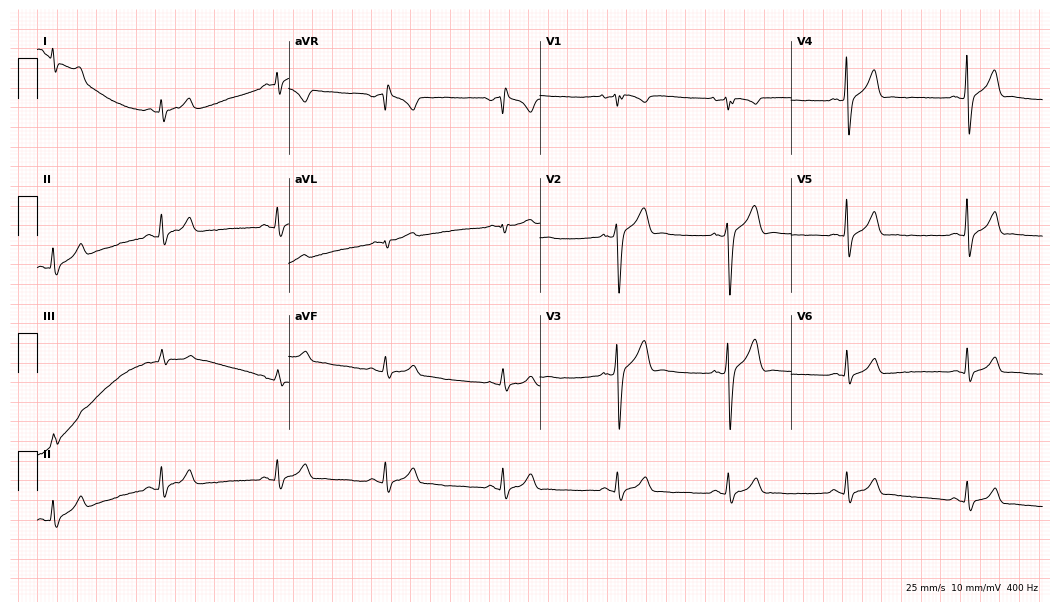
12-lead ECG from a 34-year-old man. Screened for six findings — first-degree AV block, right bundle branch block, left bundle branch block, sinus bradycardia, atrial fibrillation, sinus tachycardia — none is recorded. Other findings, if any, are not listed.